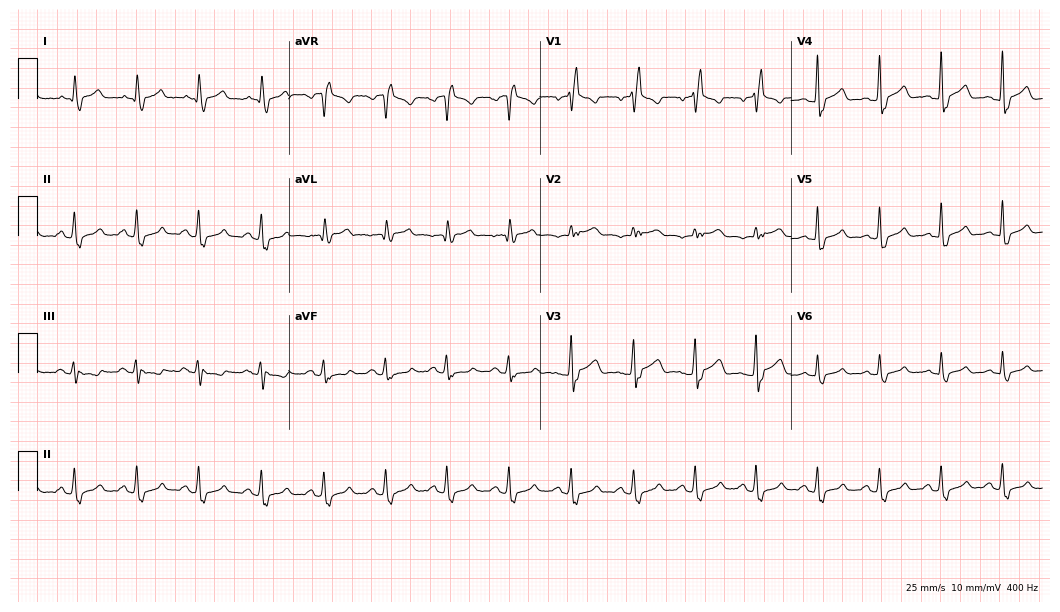
12-lead ECG from a male patient, 56 years old. Findings include right bundle branch block.